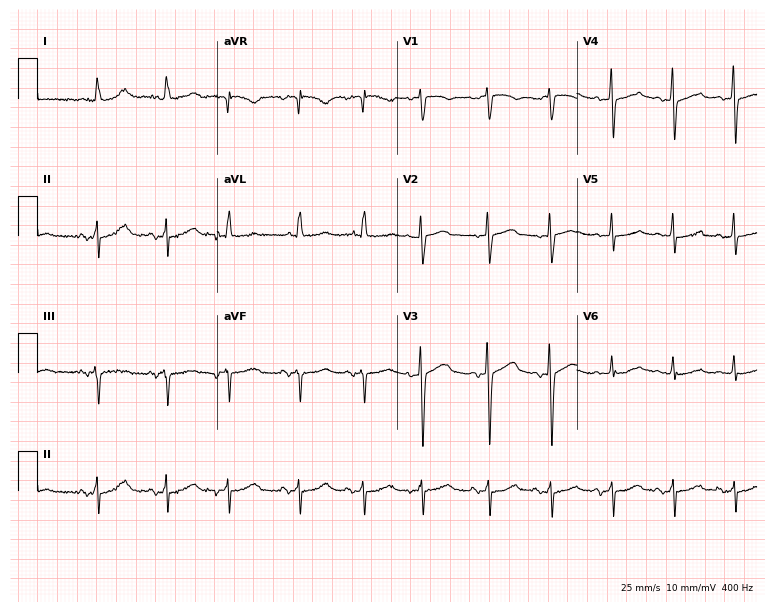
Electrocardiogram (7.3-second recording at 400 Hz), a 79-year-old woman. Of the six screened findings (first-degree AV block, right bundle branch block, left bundle branch block, sinus bradycardia, atrial fibrillation, sinus tachycardia), none is recorded. Other findings, if any, are not listed.